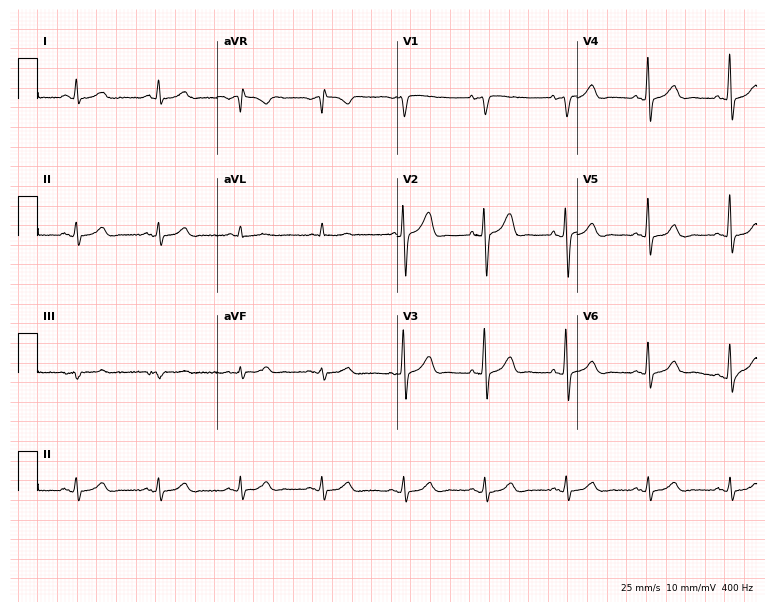
12-lead ECG from a male, 67 years old. Labelled as a normal ECG.